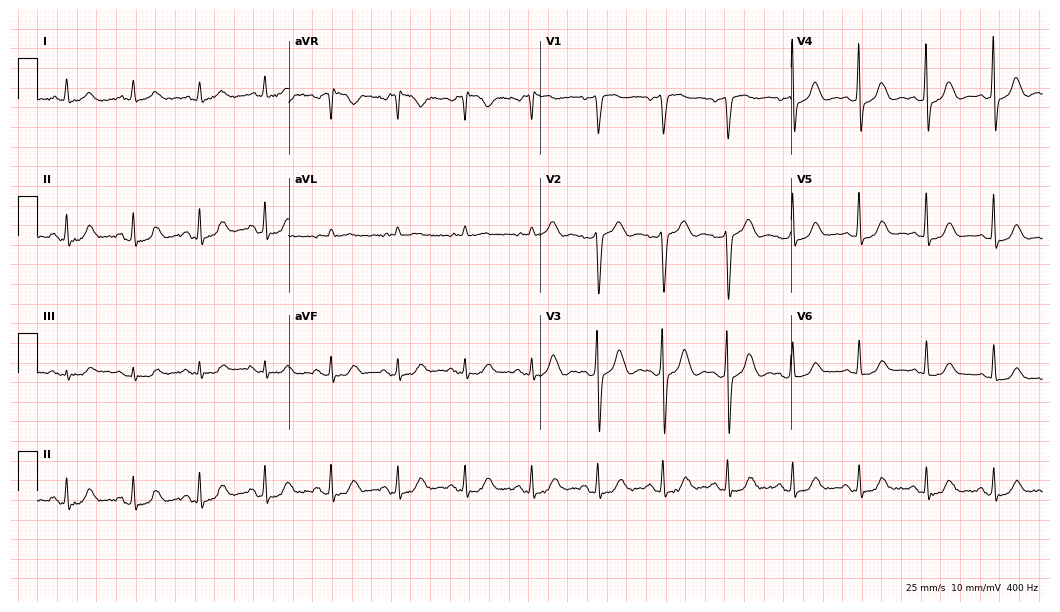
Electrocardiogram, a 59-year-old female patient. Overall reading on record: normal ECG.